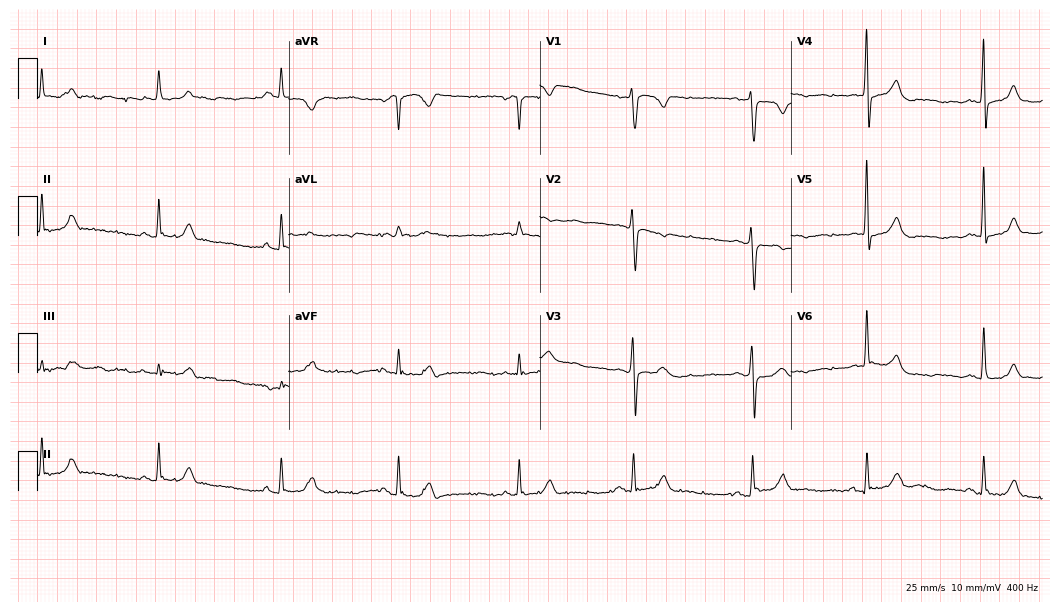
Resting 12-lead electrocardiogram. Patient: a female, 73 years old. Read as a normal ECG.